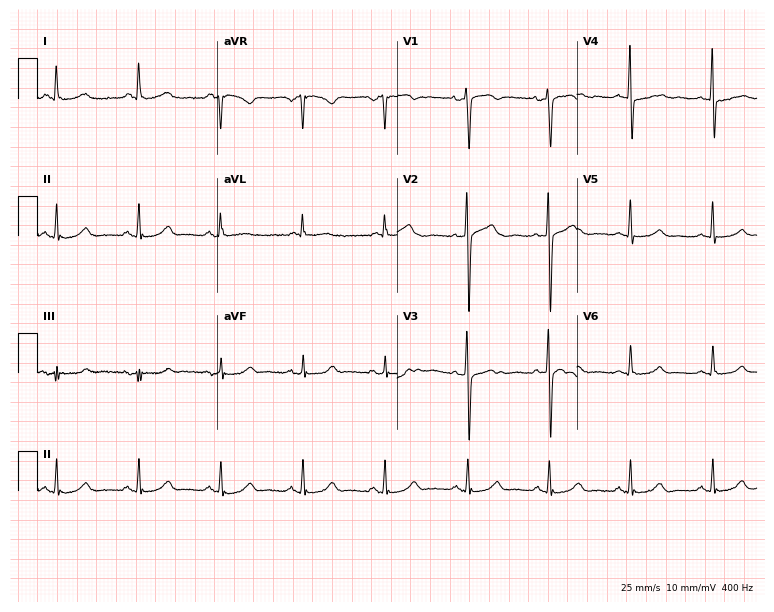
Standard 12-lead ECG recorded from a 59-year-old female patient (7.3-second recording at 400 Hz). Read as a normal ECG.